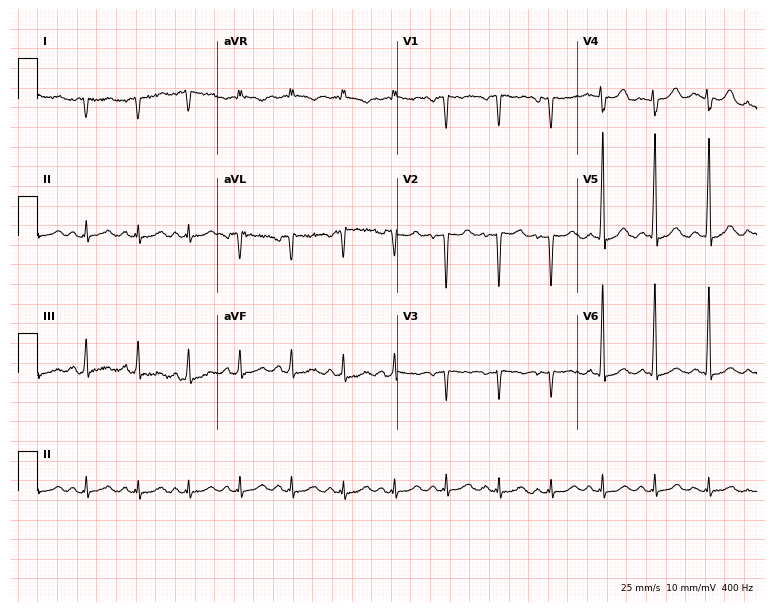
Standard 12-lead ECG recorded from a female patient, 39 years old. None of these six findings is recorded: first-degree AV block, right bundle branch block, left bundle branch block, sinus bradycardia, atrial fibrillation, sinus tachycardia. Other findings, if any, are not listed.